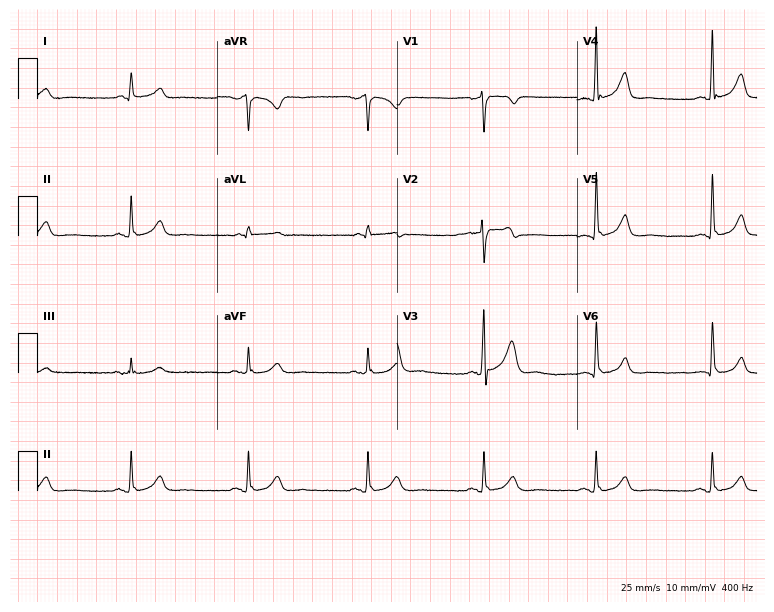
Resting 12-lead electrocardiogram. Patient: a male, 41 years old. Read as a normal ECG.